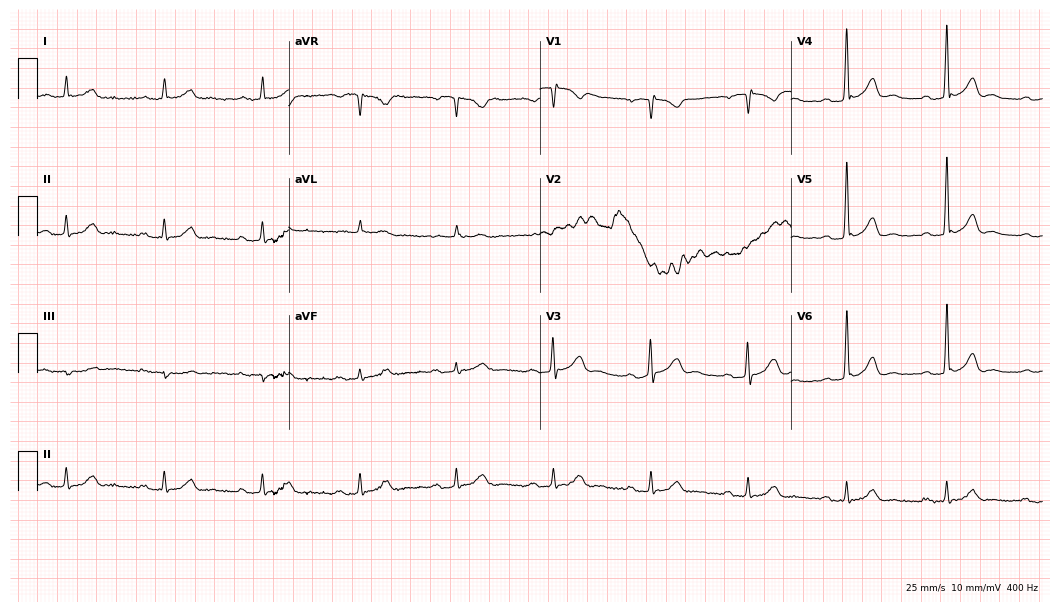
12-lead ECG from a man, 72 years old (10.2-second recording at 400 Hz). No first-degree AV block, right bundle branch block, left bundle branch block, sinus bradycardia, atrial fibrillation or sinus tachycardia recorded for this tracing.